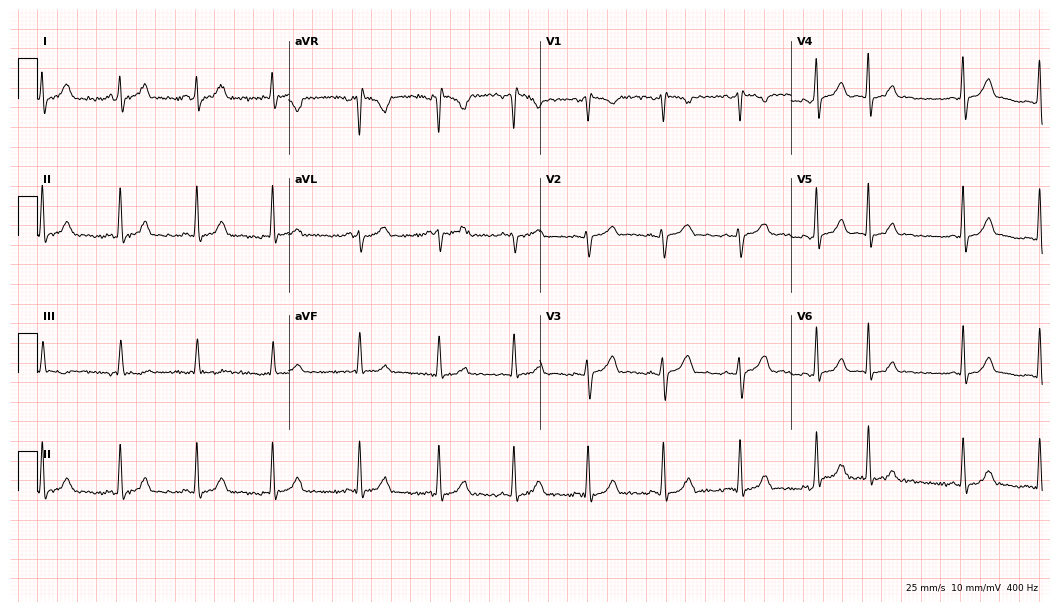
Standard 12-lead ECG recorded from a 28-year-old woman (10.2-second recording at 400 Hz). Read as a normal ECG.